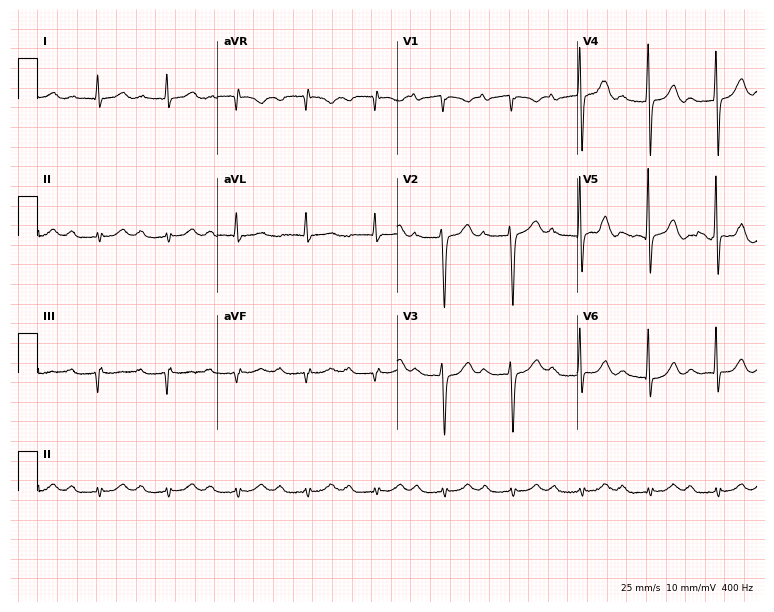
Resting 12-lead electrocardiogram. Patient: a man, 88 years old. Read as a normal ECG.